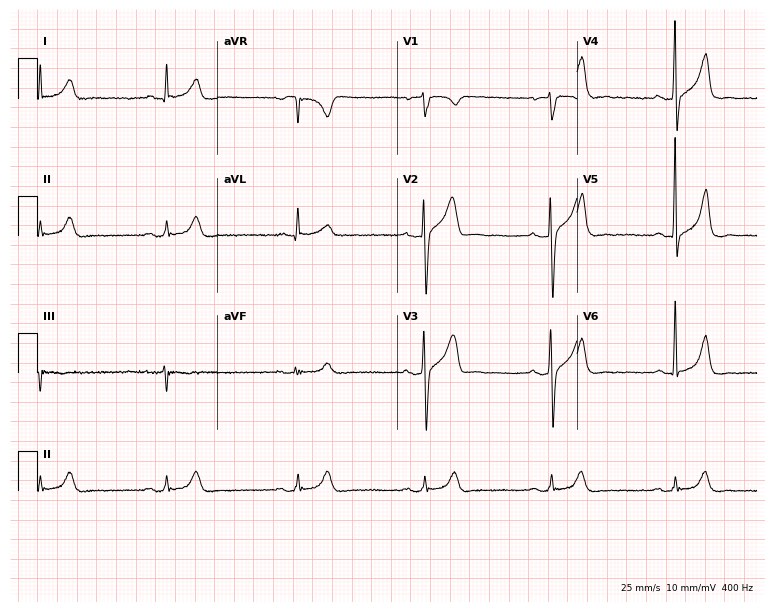
12-lead ECG from a male, 65 years old. Findings include sinus bradycardia (a sinus rate of 50 beats per minute or less).